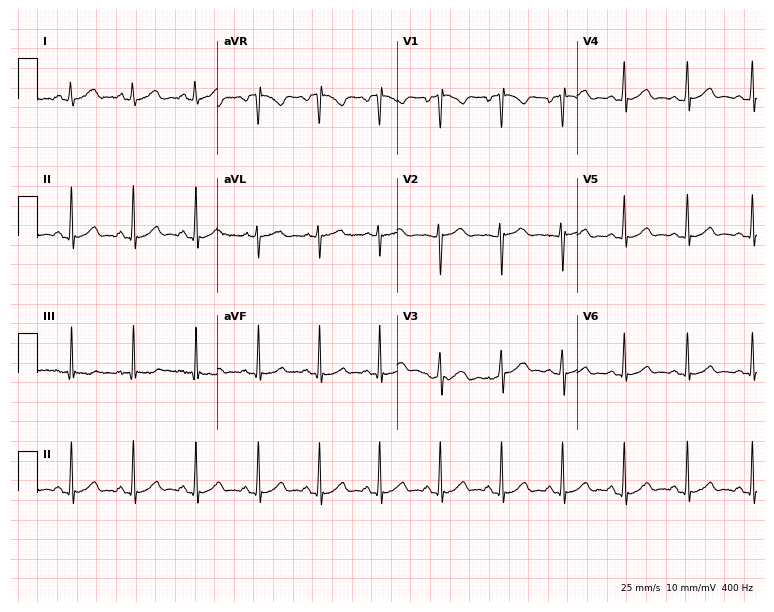
Resting 12-lead electrocardiogram (7.3-second recording at 400 Hz). Patient: a female, 17 years old. Read as a normal ECG.